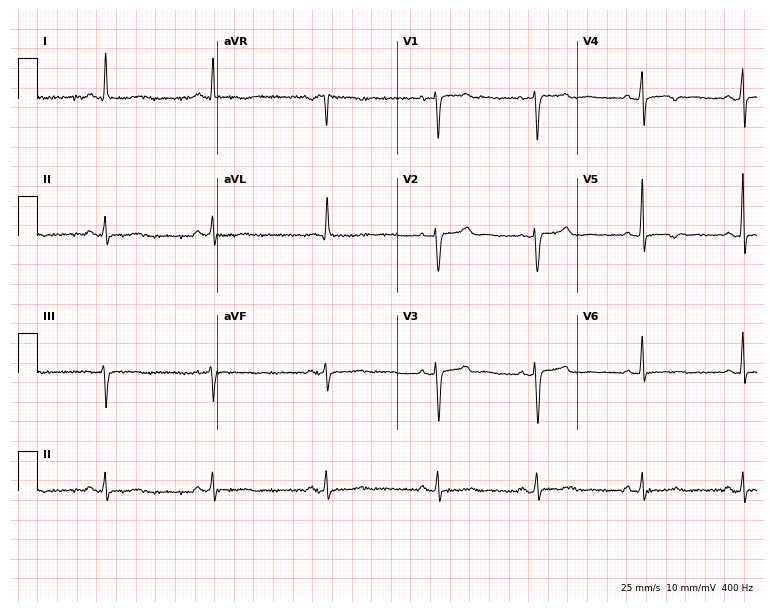
ECG — a 42-year-old woman. Screened for six findings — first-degree AV block, right bundle branch block (RBBB), left bundle branch block (LBBB), sinus bradycardia, atrial fibrillation (AF), sinus tachycardia — none is recorded.